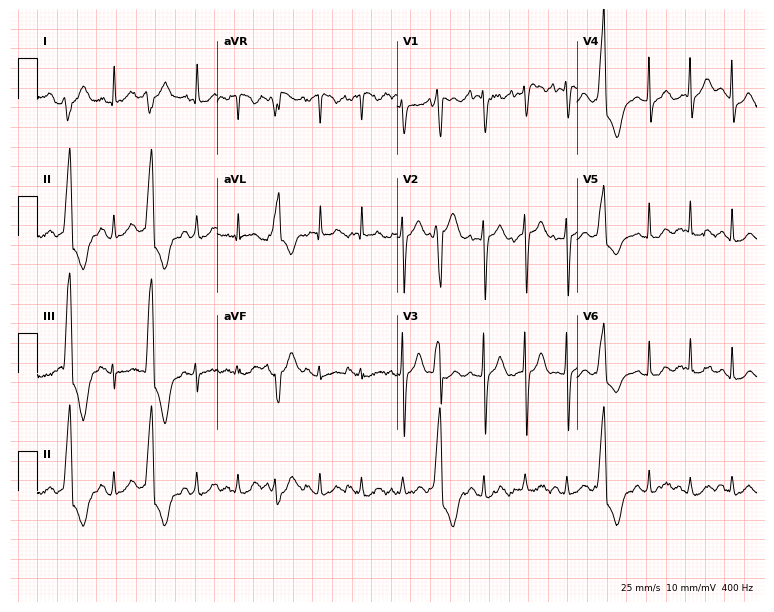
Standard 12-lead ECG recorded from a female, 85 years old (7.3-second recording at 400 Hz). The tracing shows sinus tachycardia (a sinus rate of 100 beats per minute or more).